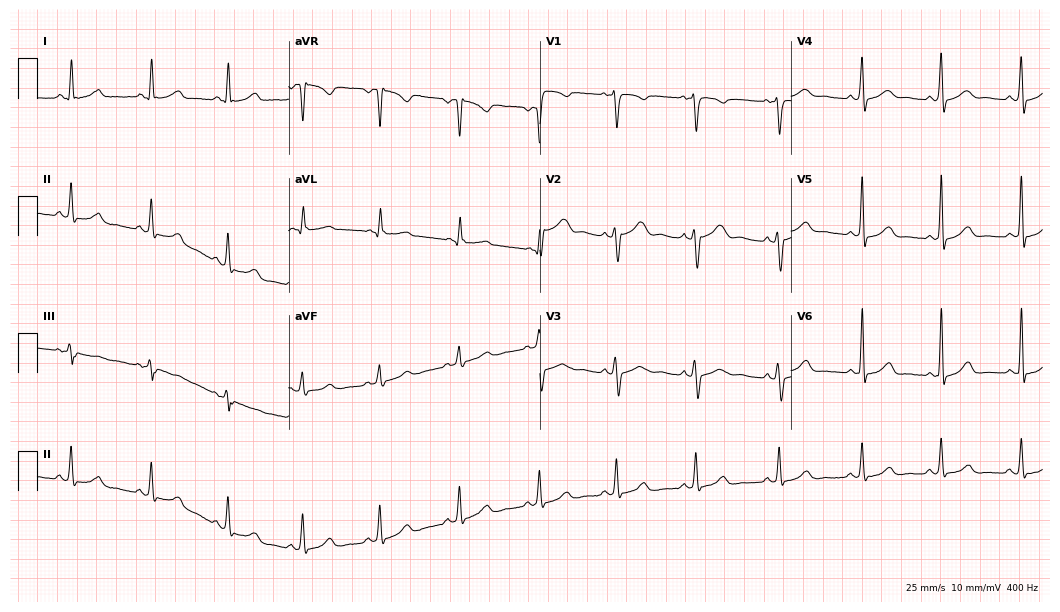
12-lead ECG from a 32-year-old female patient. Recorded interpretation: within normal limits.